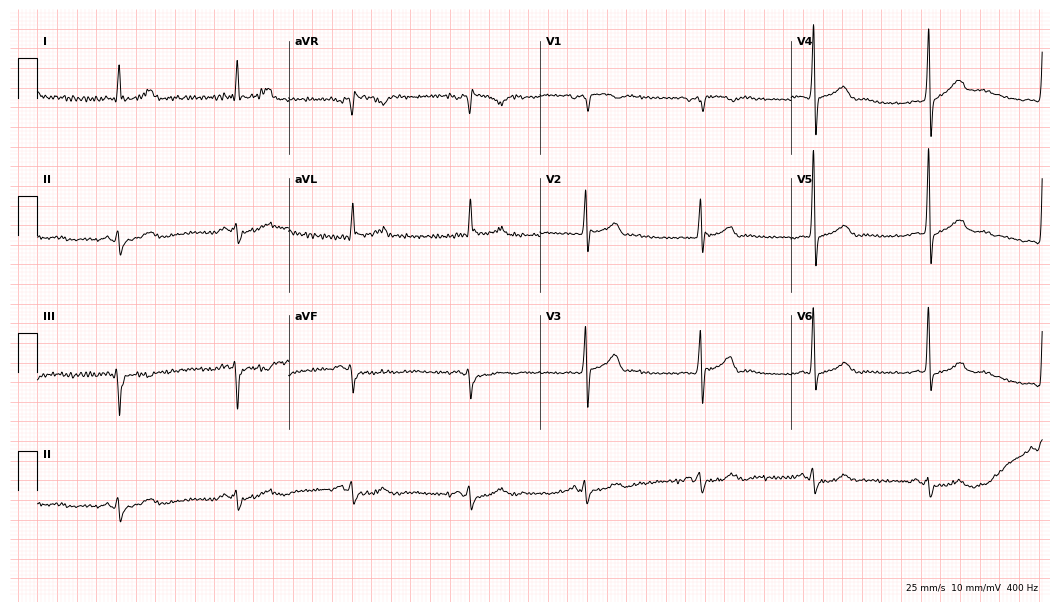
12-lead ECG from a 56-year-old man (10.2-second recording at 400 Hz). No first-degree AV block, right bundle branch block, left bundle branch block, sinus bradycardia, atrial fibrillation or sinus tachycardia recorded for this tracing.